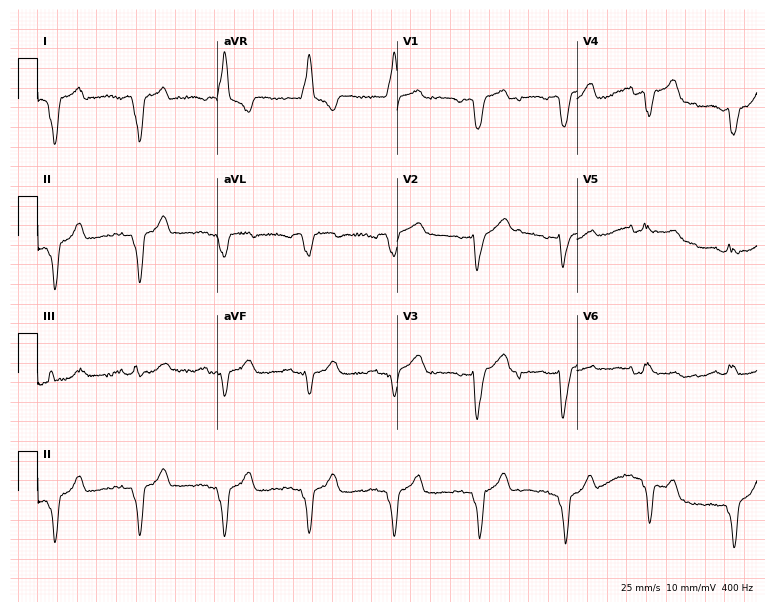
ECG — a 71-year-old woman. Screened for six findings — first-degree AV block, right bundle branch block (RBBB), left bundle branch block (LBBB), sinus bradycardia, atrial fibrillation (AF), sinus tachycardia — none is recorded. Only these six findings were labelled.